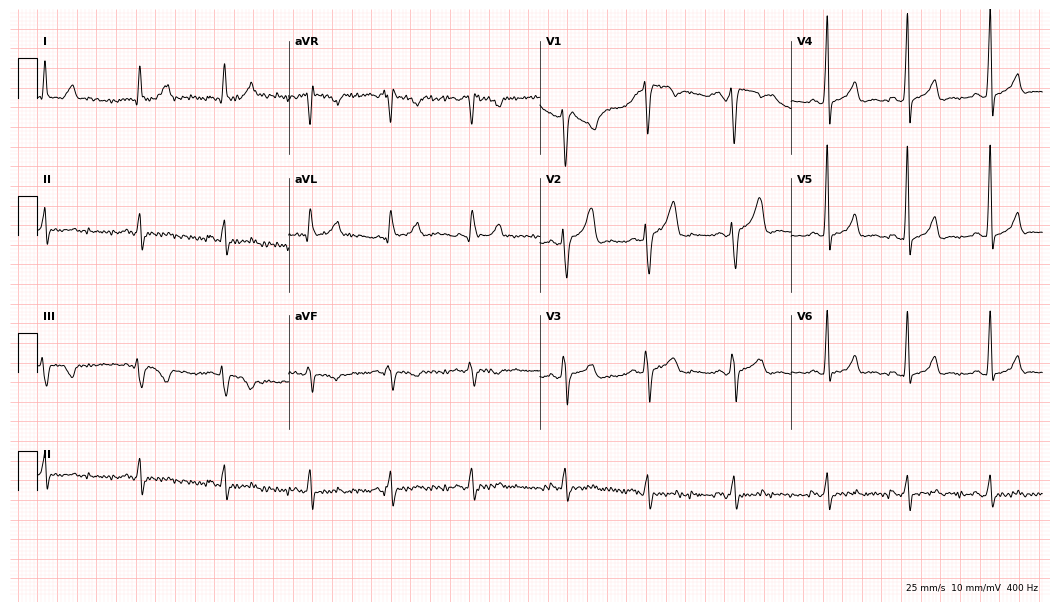
Standard 12-lead ECG recorded from a male, 32 years old. None of these six findings is recorded: first-degree AV block, right bundle branch block, left bundle branch block, sinus bradycardia, atrial fibrillation, sinus tachycardia. Other findings, if any, are not listed.